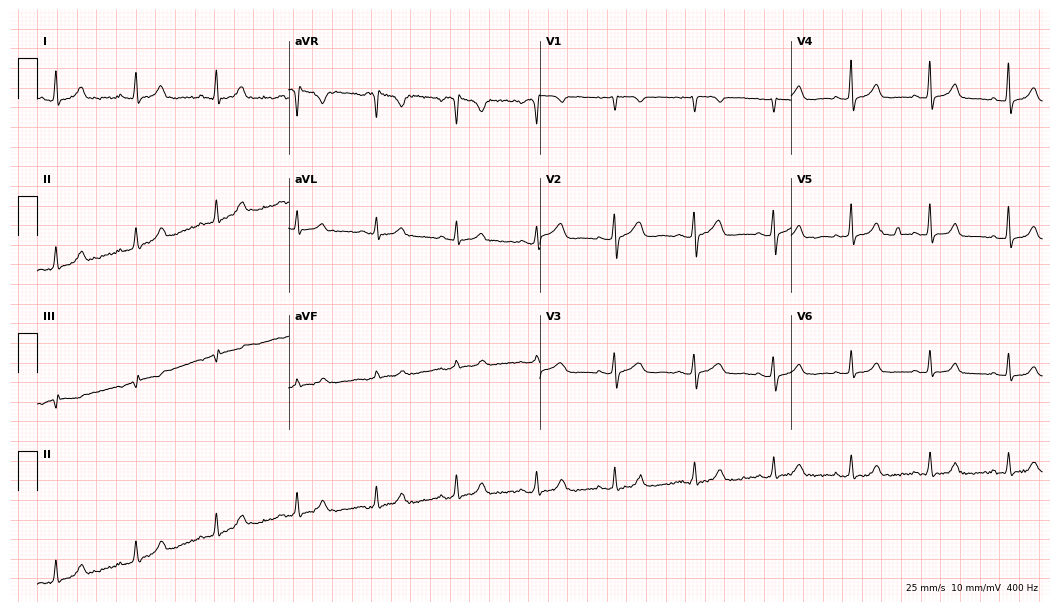
Resting 12-lead electrocardiogram (10.2-second recording at 400 Hz). Patient: a 45-year-old female. Read as a normal ECG.